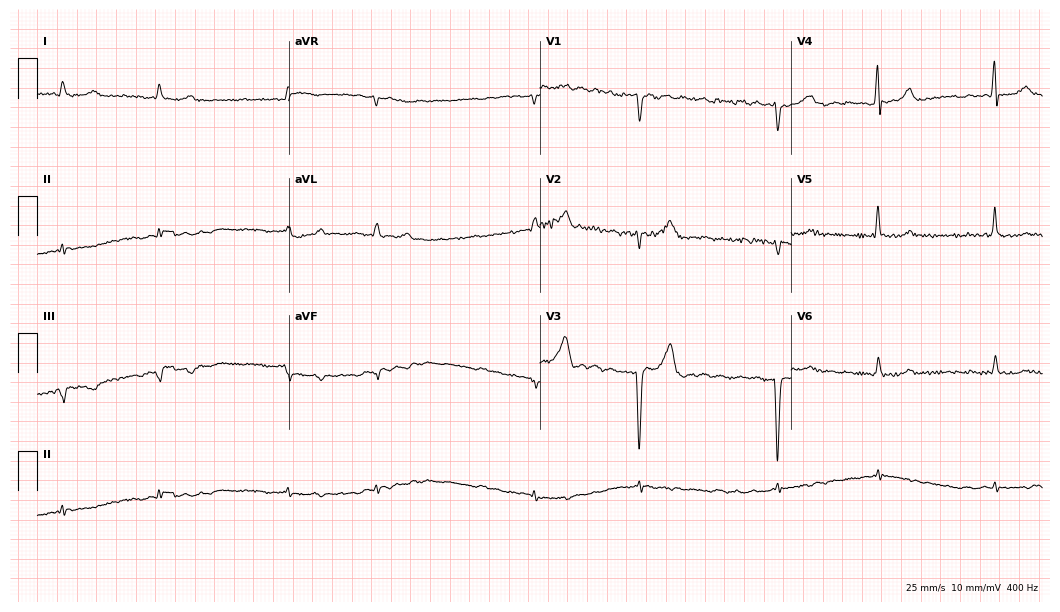
Electrocardiogram (10.2-second recording at 400 Hz), a male, 51 years old. Interpretation includes atrial fibrillation (AF).